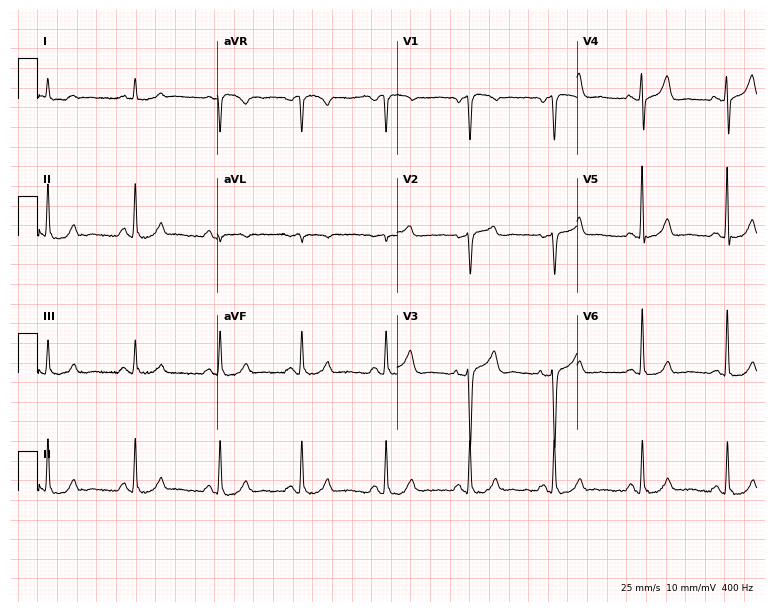
Electrocardiogram (7.3-second recording at 400 Hz), a male, 68 years old. Overall reading on record: normal ECG.